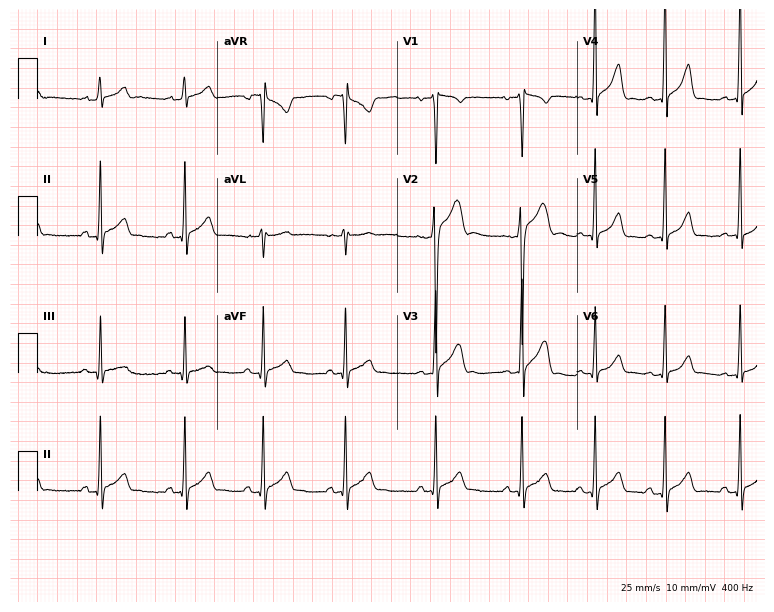
12-lead ECG (7.3-second recording at 400 Hz) from a male patient, 18 years old. Labelled as a normal ECG.